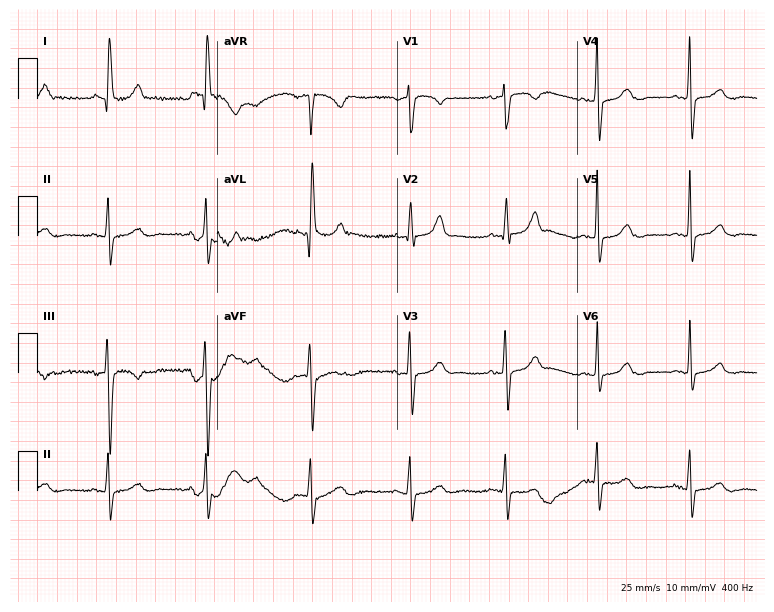
ECG — a 65-year-old female patient. Screened for six findings — first-degree AV block, right bundle branch block (RBBB), left bundle branch block (LBBB), sinus bradycardia, atrial fibrillation (AF), sinus tachycardia — none is recorded.